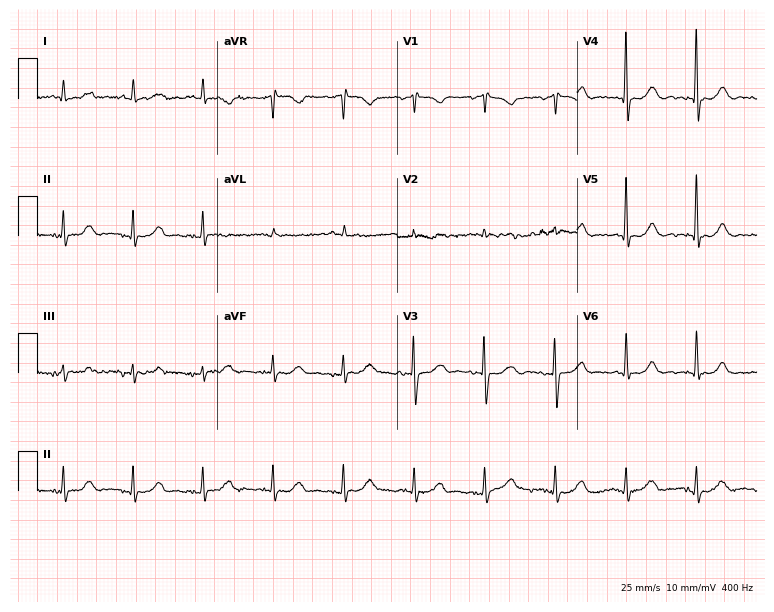
Resting 12-lead electrocardiogram. Patient: an 84-year-old male. Read as a normal ECG.